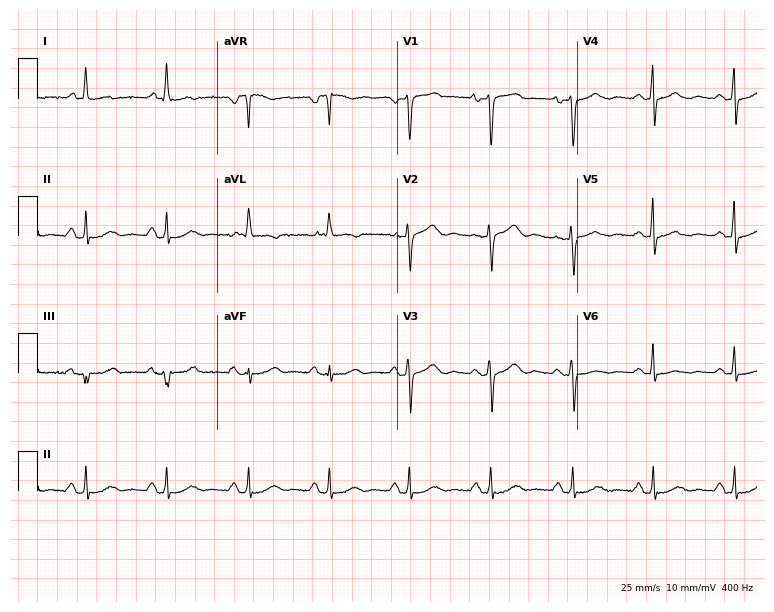
ECG (7.3-second recording at 400 Hz) — a woman, 63 years old. Screened for six findings — first-degree AV block, right bundle branch block, left bundle branch block, sinus bradycardia, atrial fibrillation, sinus tachycardia — none is recorded.